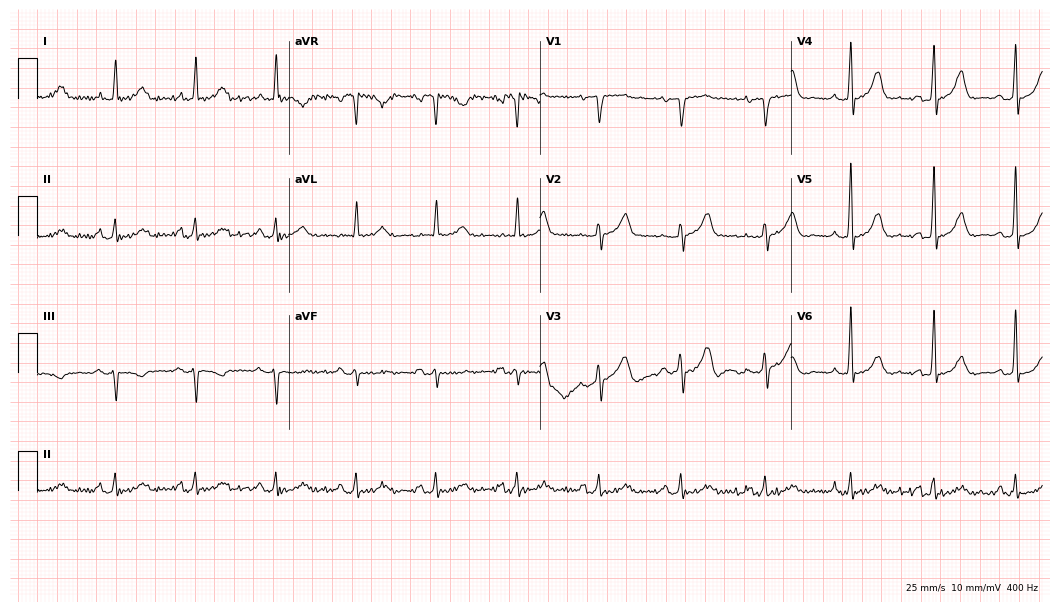
Electrocardiogram, a male patient, 78 years old. Overall reading on record: normal ECG.